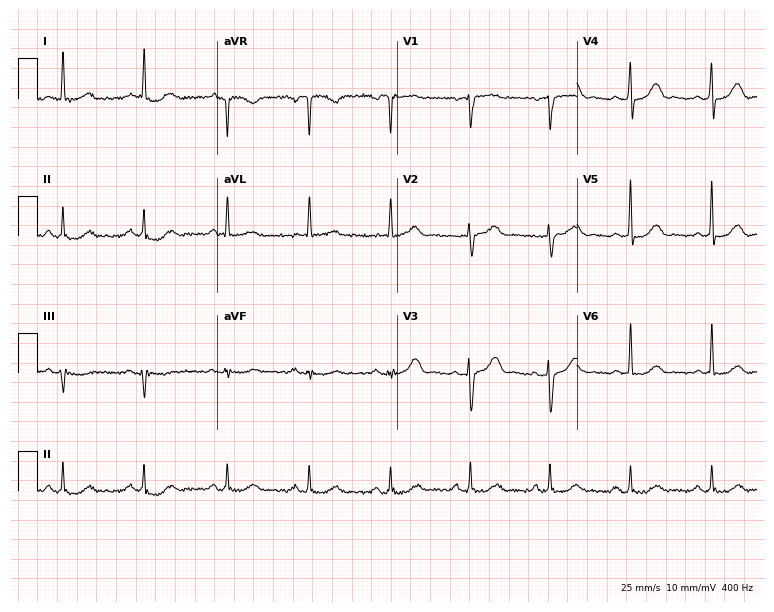
Electrocardiogram, a woman, 81 years old. Overall reading on record: normal ECG.